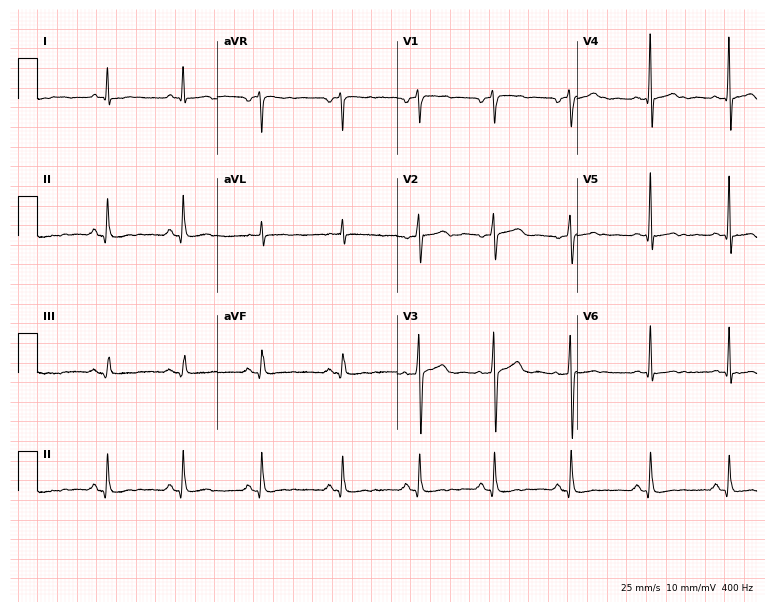
ECG — a male, 80 years old. Screened for six findings — first-degree AV block, right bundle branch block (RBBB), left bundle branch block (LBBB), sinus bradycardia, atrial fibrillation (AF), sinus tachycardia — none is recorded. Only these six findings were labelled.